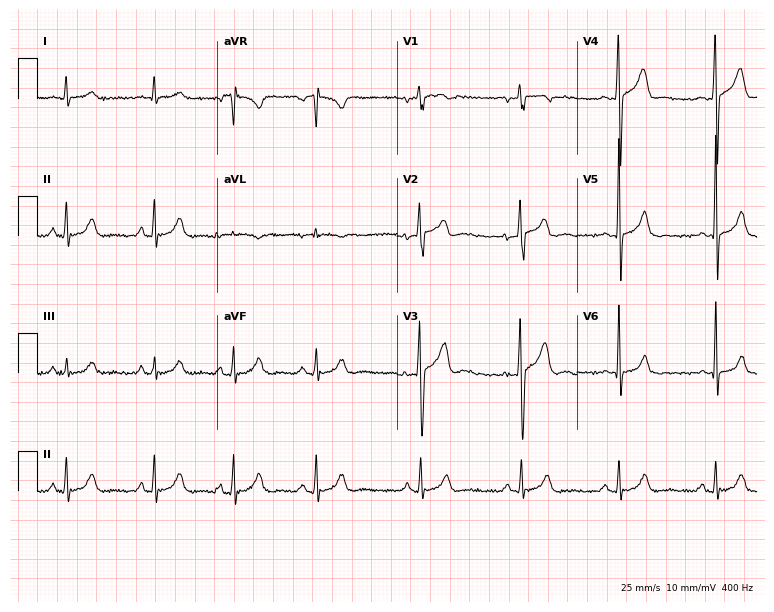
12-lead ECG (7.3-second recording at 400 Hz) from a male patient, 30 years old. Labelled as a normal ECG.